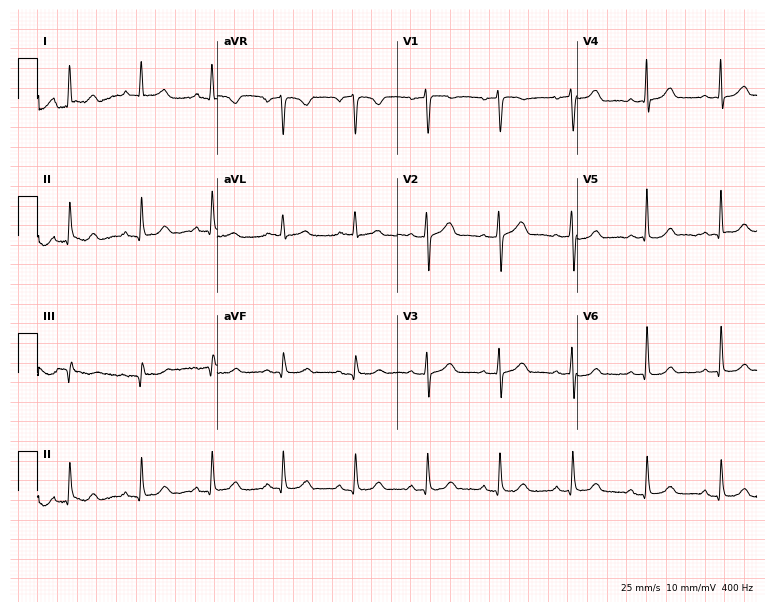
Electrocardiogram (7.3-second recording at 400 Hz), a woman, 51 years old. Overall reading on record: normal ECG.